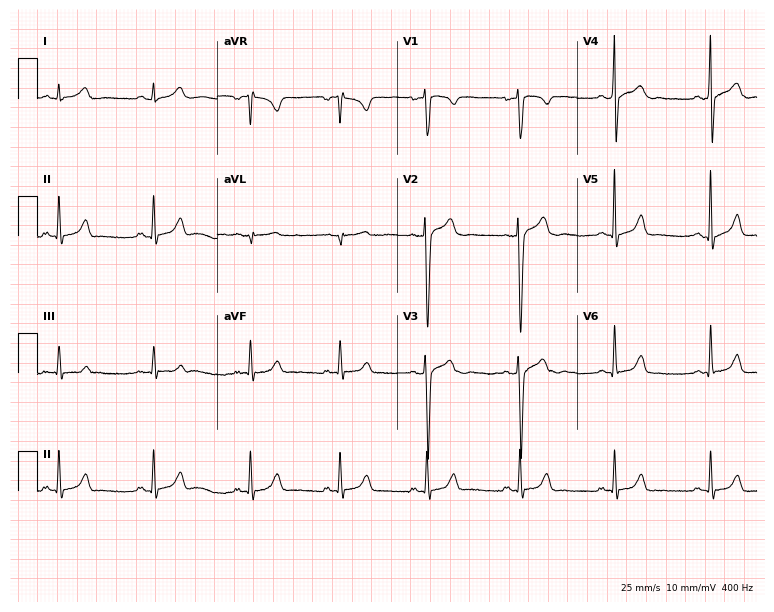
Standard 12-lead ECG recorded from a 17-year-old man. None of these six findings is recorded: first-degree AV block, right bundle branch block (RBBB), left bundle branch block (LBBB), sinus bradycardia, atrial fibrillation (AF), sinus tachycardia.